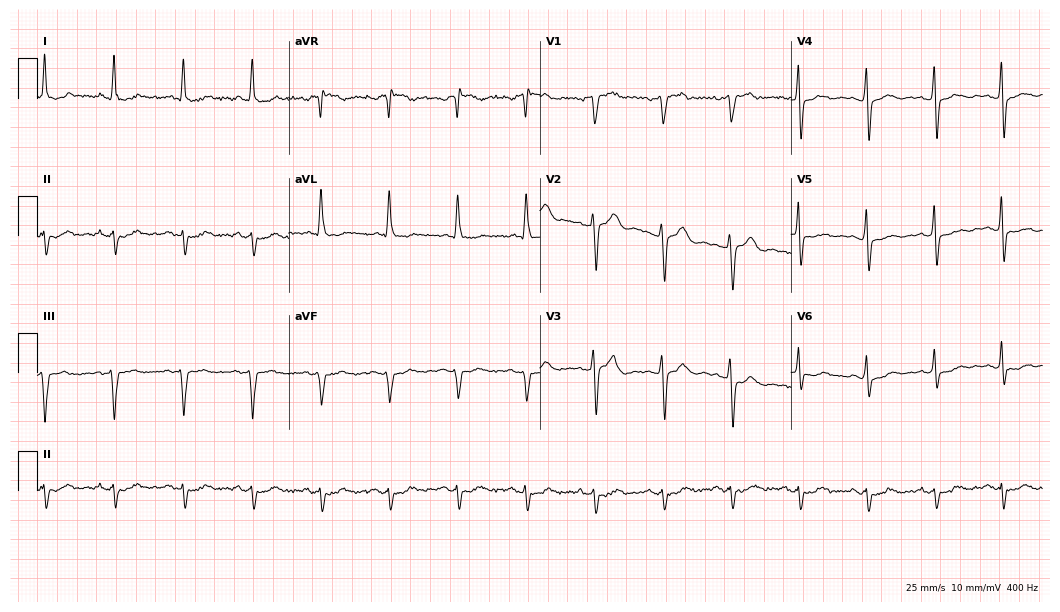
12-lead ECG from a male, 66 years old. No first-degree AV block, right bundle branch block, left bundle branch block, sinus bradycardia, atrial fibrillation or sinus tachycardia recorded for this tracing.